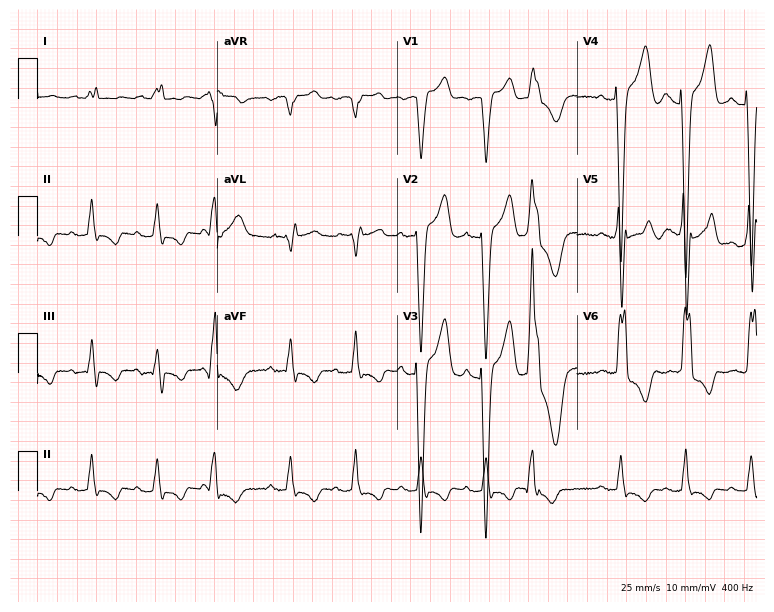
Electrocardiogram, a 72-year-old male patient. Interpretation includes left bundle branch block.